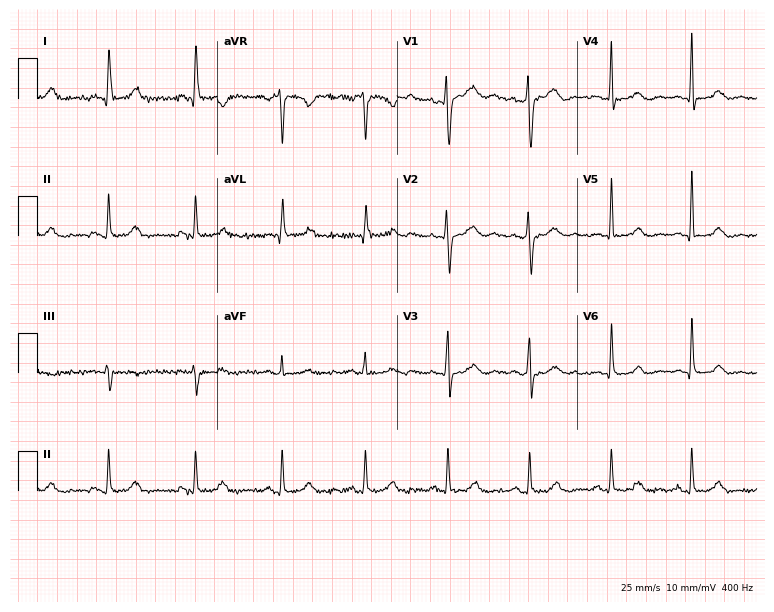
12-lead ECG from a 39-year-old female patient. Labelled as a normal ECG.